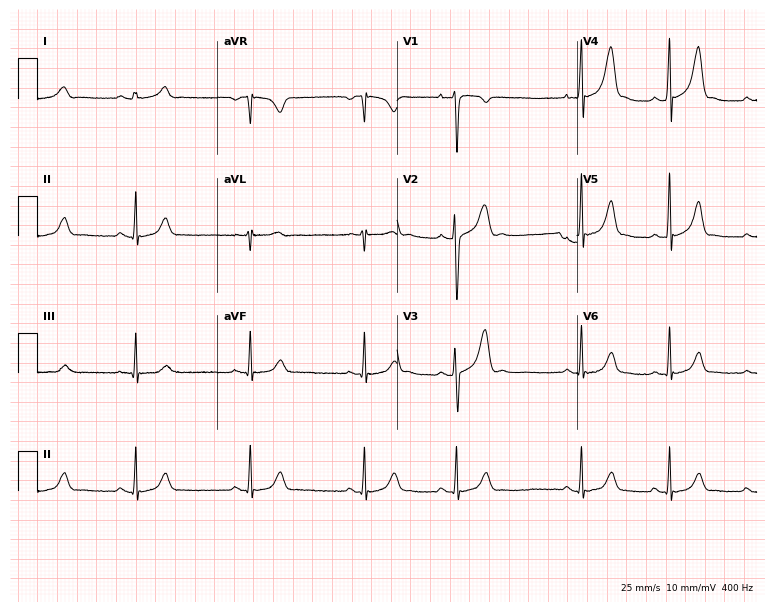
Resting 12-lead electrocardiogram. Patient: a female, 24 years old. None of these six findings is recorded: first-degree AV block, right bundle branch block, left bundle branch block, sinus bradycardia, atrial fibrillation, sinus tachycardia. Findings outside these six are not listed.